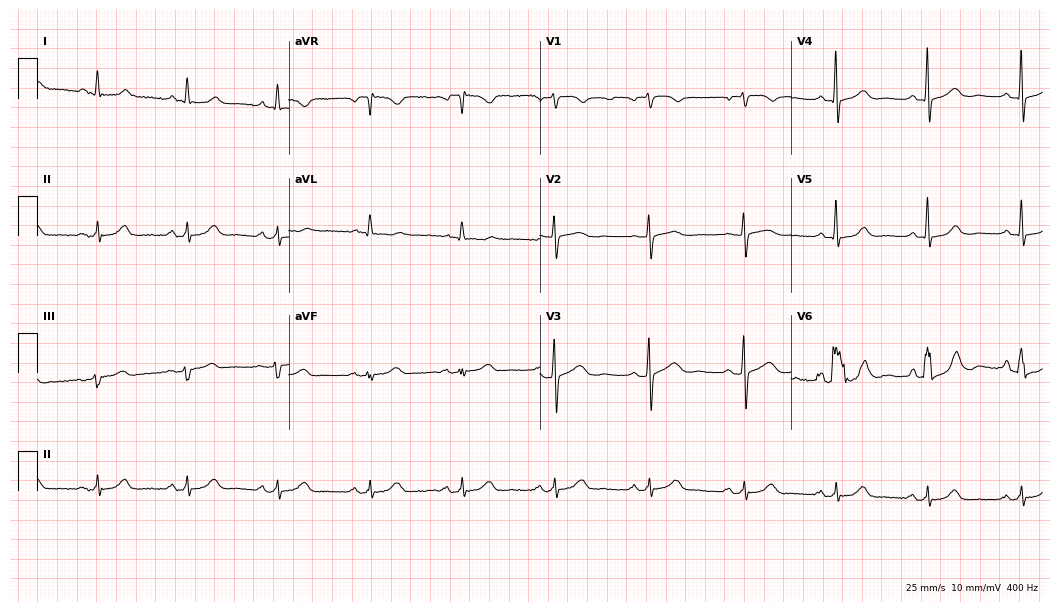
Electrocardiogram, a female patient, 73 years old. Overall reading on record: normal ECG.